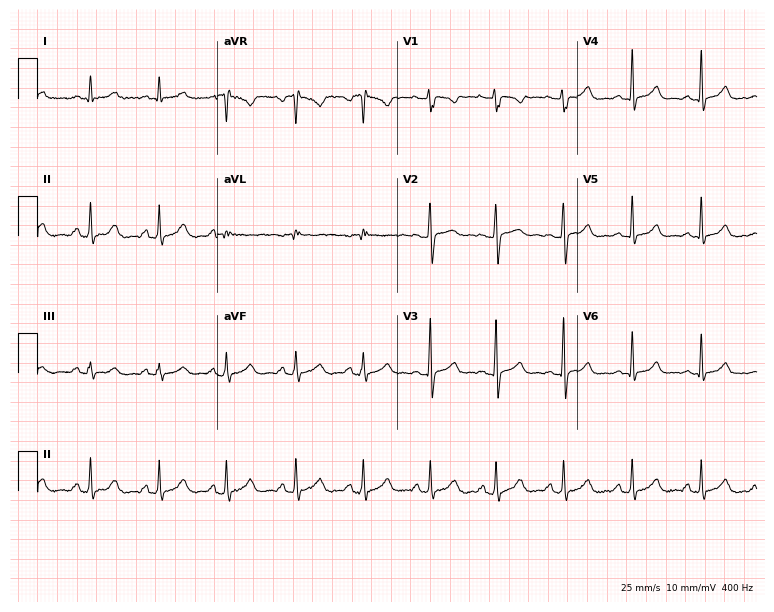
Resting 12-lead electrocardiogram. Patient: a 17-year-old female. None of these six findings is recorded: first-degree AV block, right bundle branch block, left bundle branch block, sinus bradycardia, atrial fibrillation, sinus tachycardia.